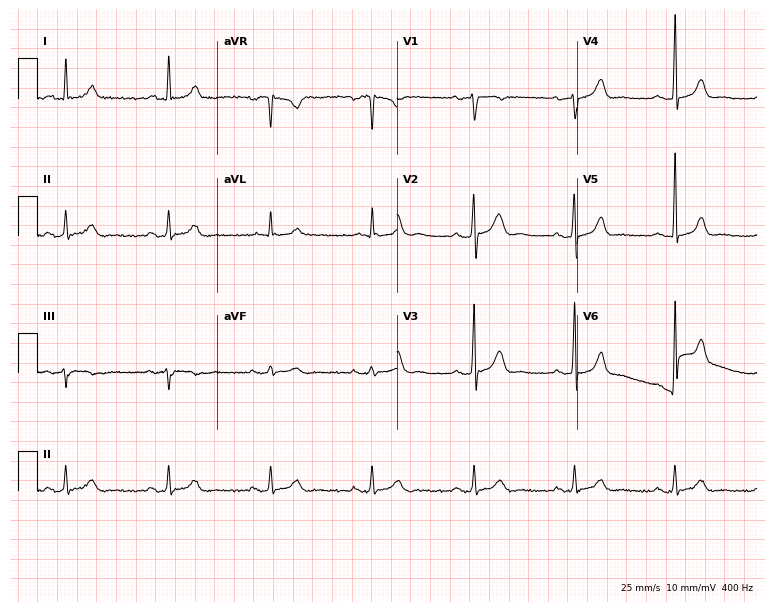
Electrocardiogram, a 45-year-old male patient. Overall reading on record: normal ECG.